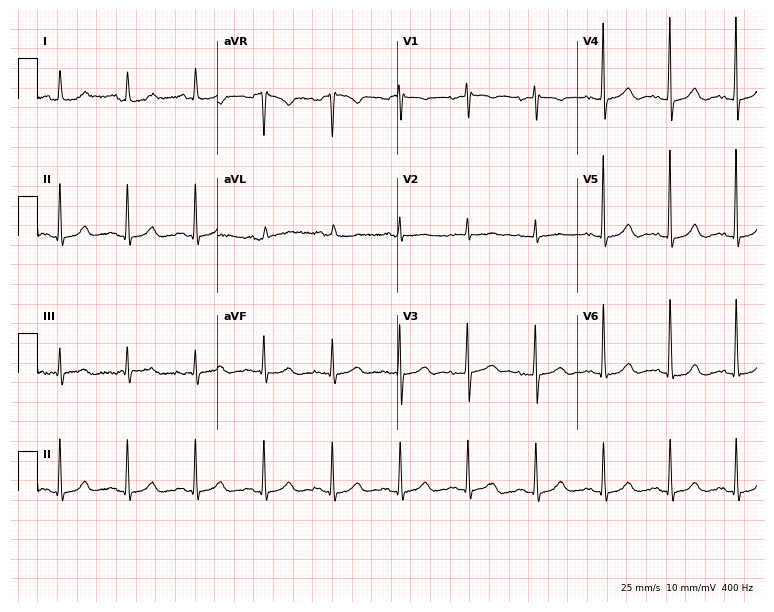
12-lead ECG (7.3-second recording at 400 Hz) from a 61-year-old female. Labelled as a normal ECG.